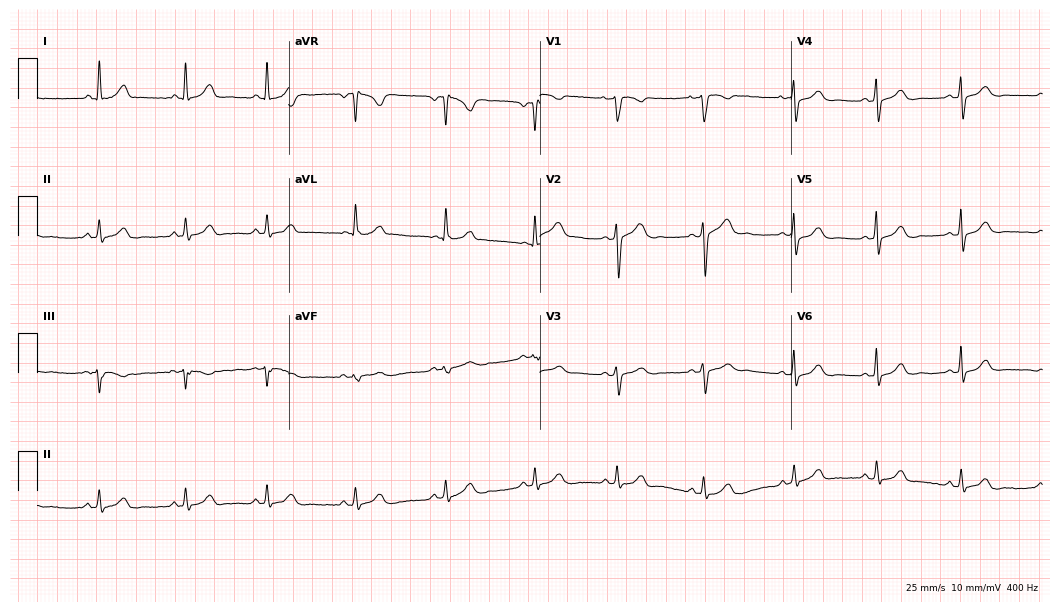
12-lead ECG from a 33-year-old woman (10.2-second recording at 400 Hz). Recorded interpretation: within normal limits.